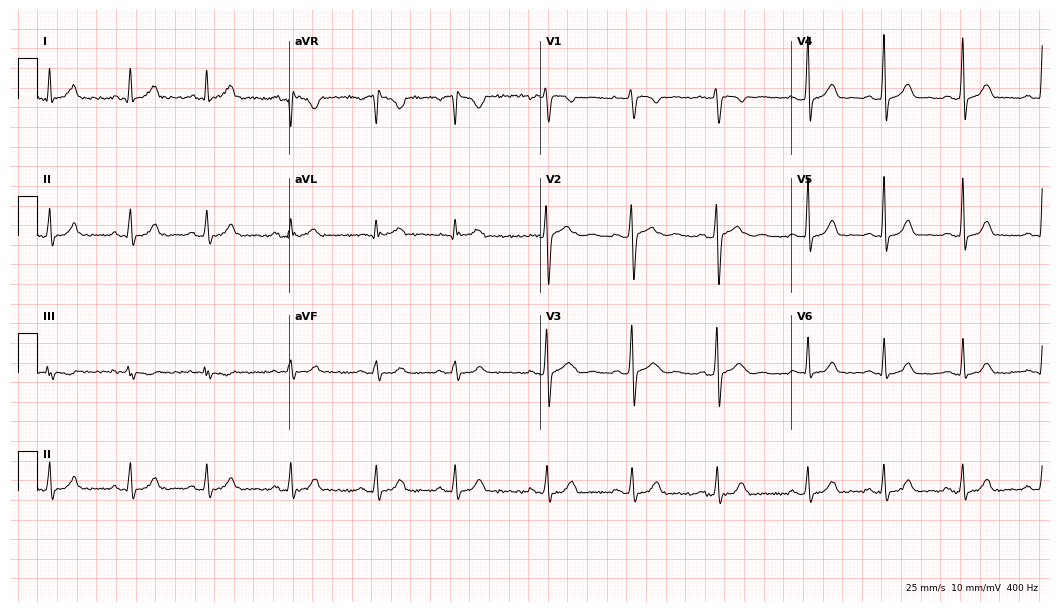
12-lead ECG from a 19-year-old female. Recorded interpretation: within normal limits.